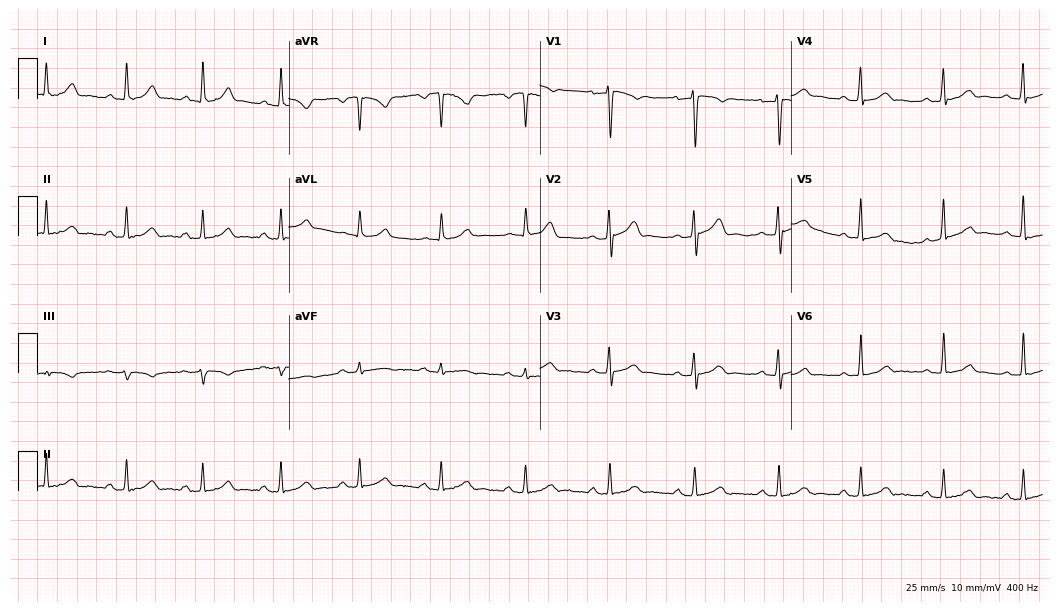
Electrocardiogram (10.2-second recording at 400 Hz), a 45-year-old male patient. Overall reading on record: normal ECG.